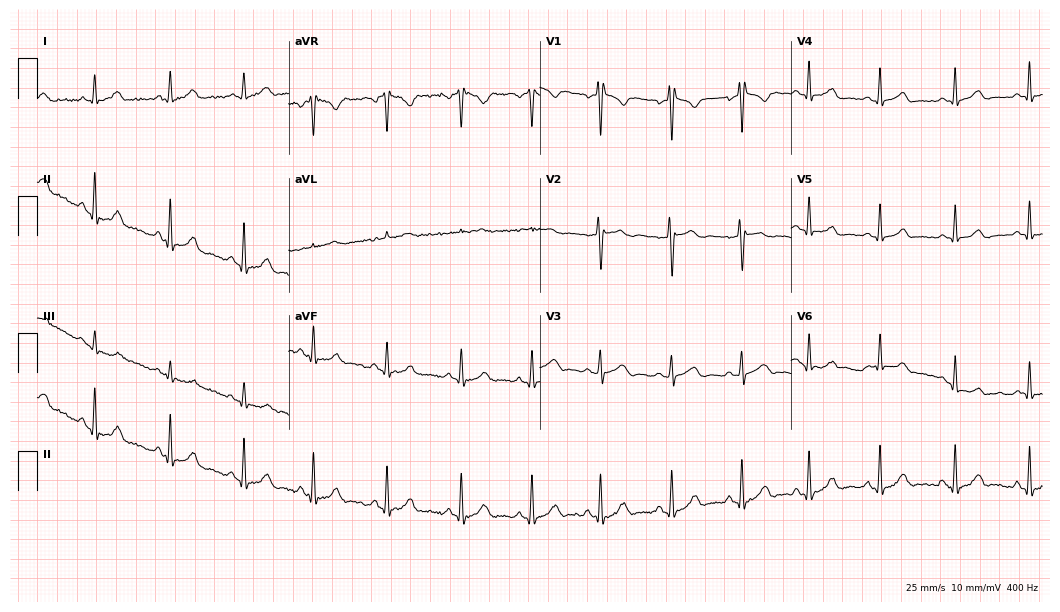
Resting 12-lead electrocardiogram (10.2-second recording at 400 Hz). Patient: a 25-year-old female. None of these six findings is recorded: first-degree AV block, right bundle branch block, left bundle branch block, sinus bradycardia, atrial fibrillation, sinus tachycardia. Only these six findings were labelled.